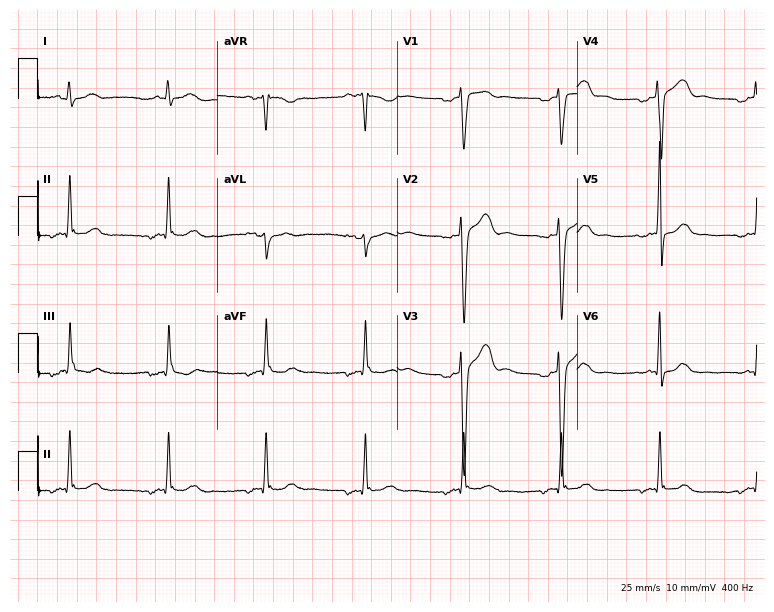
Resting 12-lead electrocardiogram (7.3-second recording at 400 Hz). Patient: a 36-year-old male. None of these six findings is recorded: first-degree AV block, right bundle branch block, left bundle branch block, sinus bradycardia, atrial fibrillation, sinus tachycardia. Only these six findings were labelled.